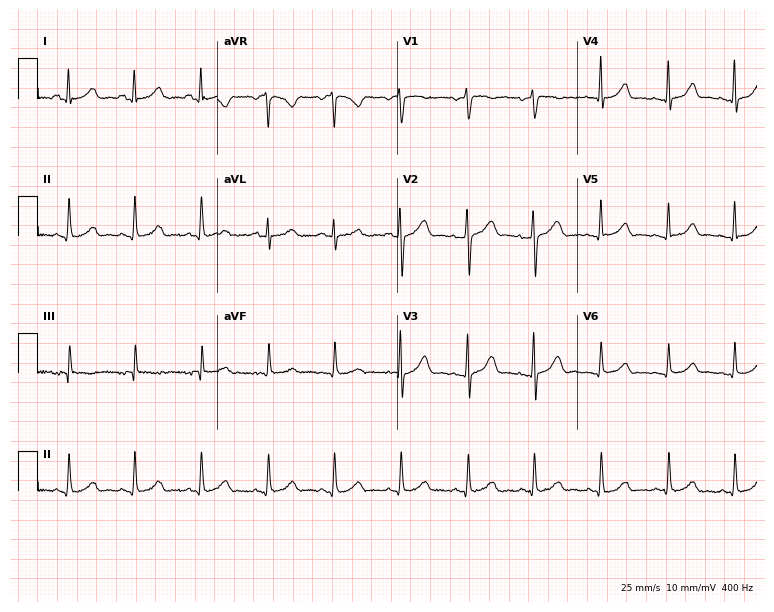
12-lead ECG from a female, 47 years old (7.3-second recording at 400 Hz). Recorded interpretation: within normal limits.